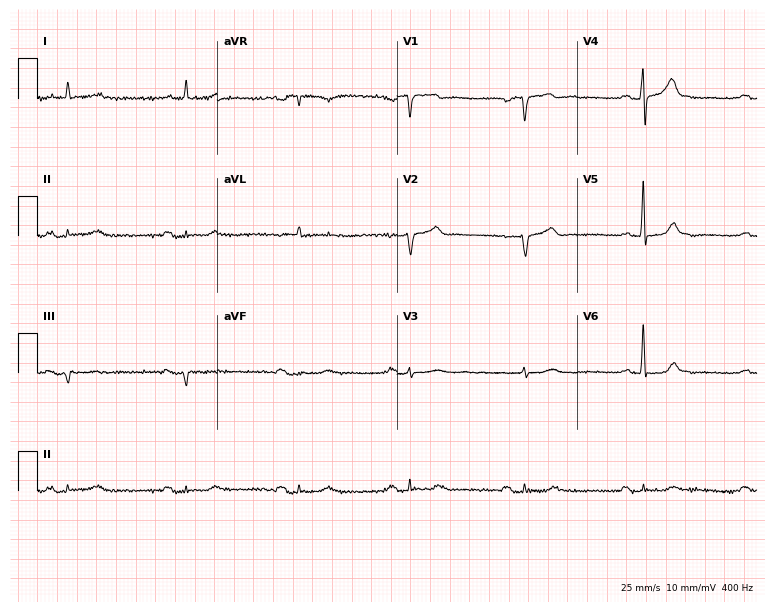
Electrocardiogram (7.3-second recording at 400 Hz), a 79-year-old male patient. Overall reading on record: normal ECG.